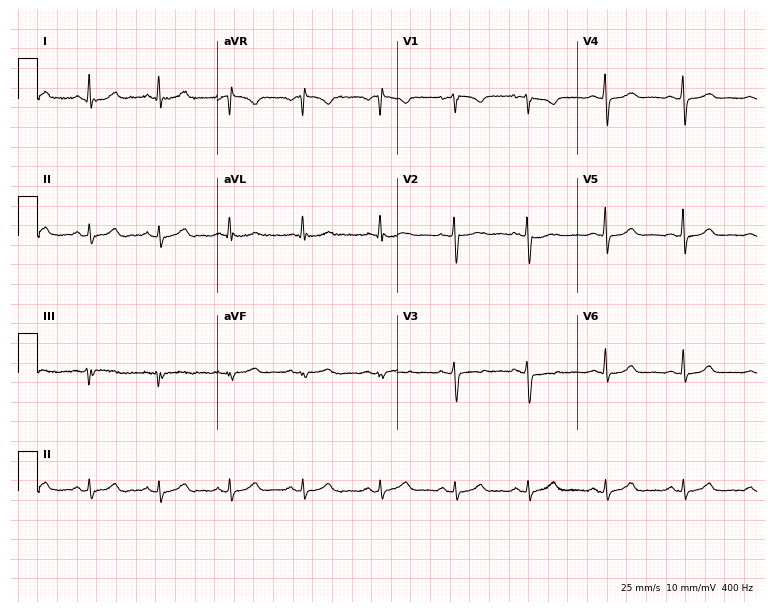
Resting 12-lead electrocardiogram. Patient: a female, 47 years old. Read as a normal ECG.